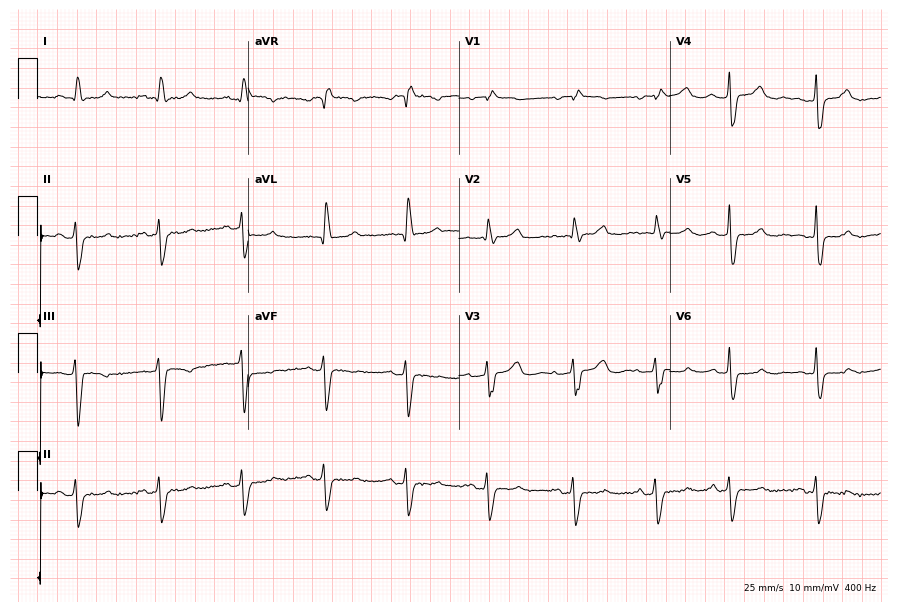
Standard 12-lead ECG recorded from a 70-year-old woman. None of these six findings is recorded: first-degree AV block, right bundle branch block, left bundle branch block, sinus bradycardia, atrial fibrillation, sinus tachycardia.